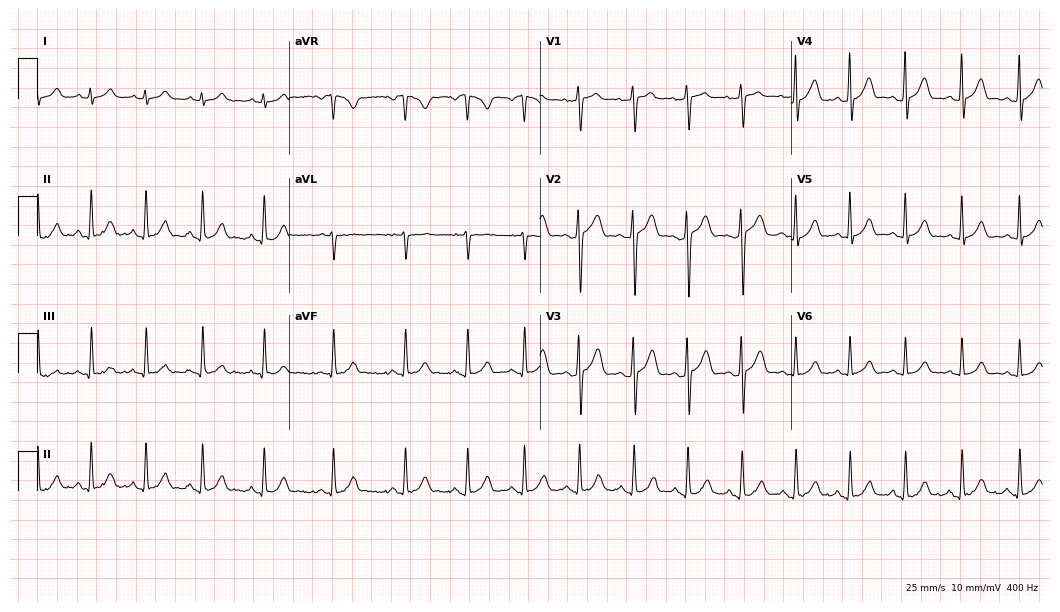
Electrocardiogram (10.2-second recording at 400 Hz), a male patient, 41 years old. Interpretation includes sinus tachycardia (a sinus rate of 100 beats per minute or more).